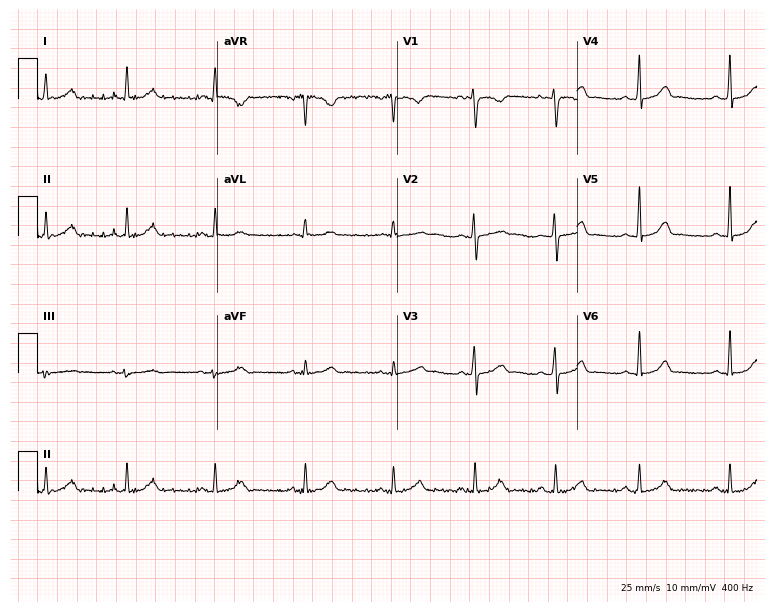
12-lead ECG (7.3-second recording at 400 Hz) from a female, 25 years old. Labelled as a normal ECG.